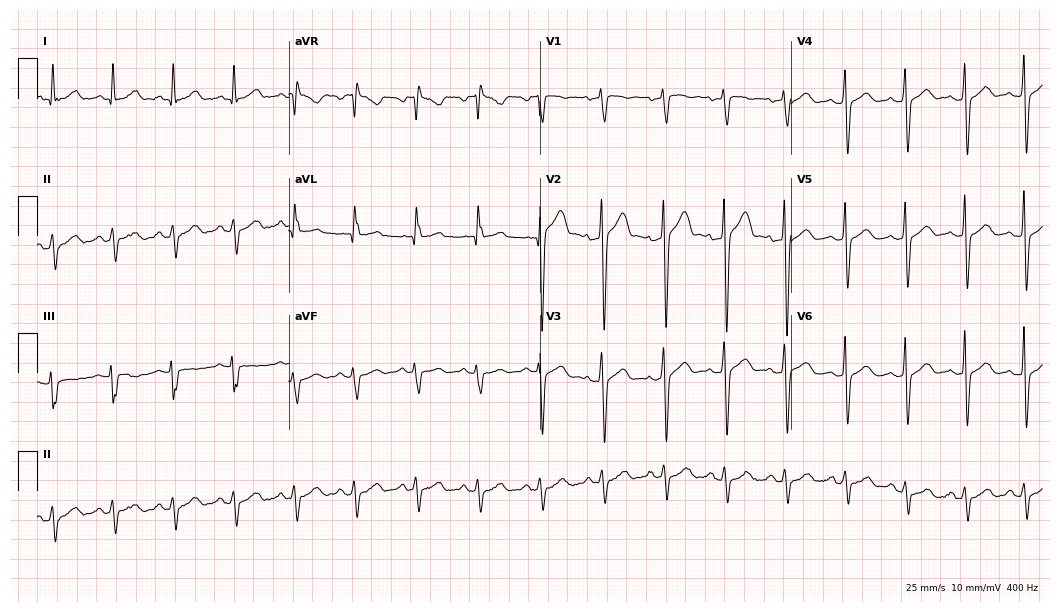
Electrocardiogram (10.2-second recording at 400 Hz), a 42-year-old male. Of the six screened findings (first-degree AV block, right bundle branch block (RBBB), left bundle branch block (LBBB), sinus bradycardia, atrial fibrillation (AF), sinus tachycardia), none is recorded. Other findings, if any, are not listed.